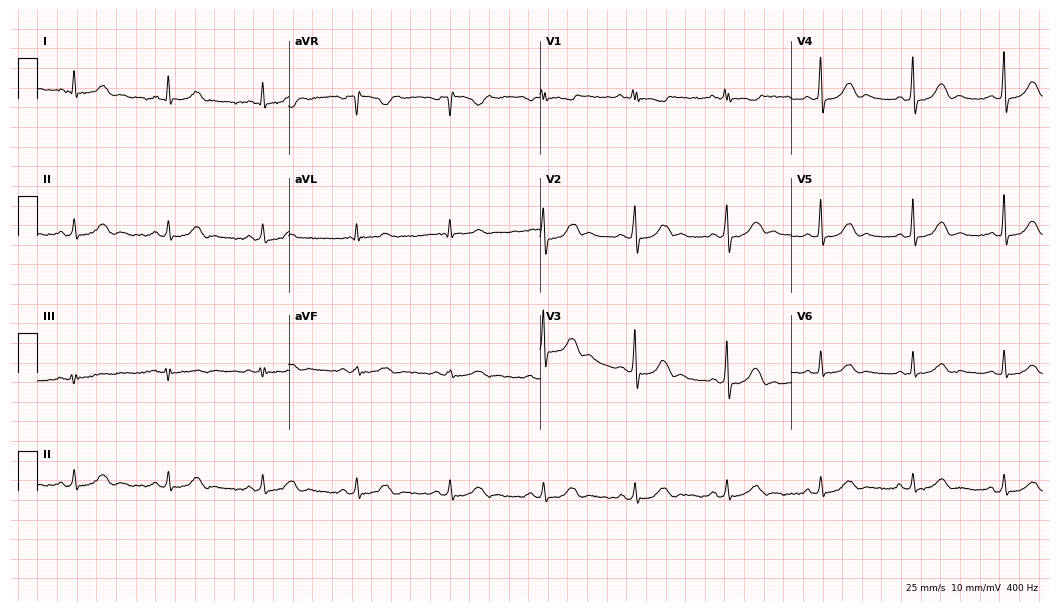
12-lead ECG from a male patient, 57 years old. Screened for six findings — first-degree AV block, right bundle branch block, left bundle branch block, sinus bradycardia, atrial fibrillation, sinus tachycardia — none is recorded. Findings outside these six are not listed.